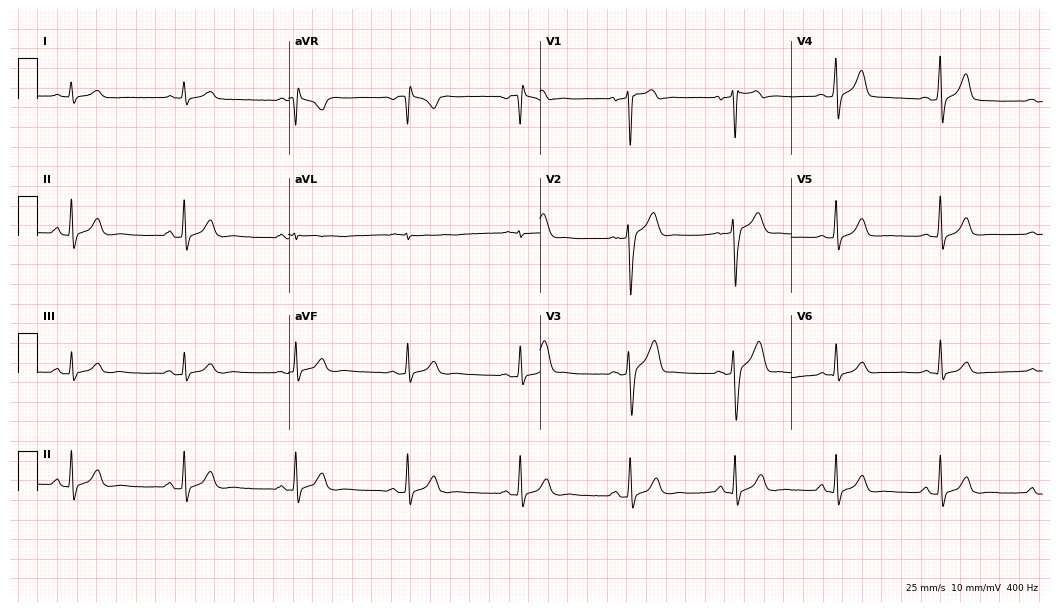
ECG — a male, 33 years old. Labelled as a normal ECG.